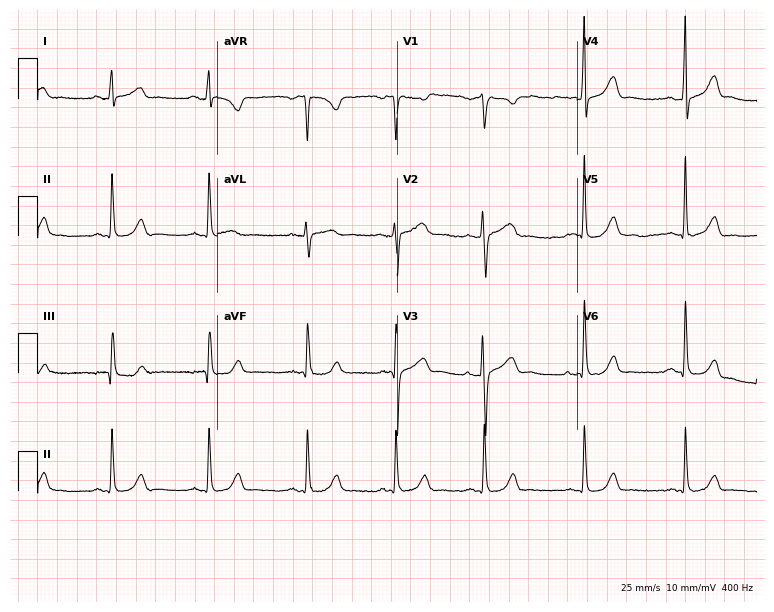
Electrocardiogram (7.3-second recording at 400 Hz), a woman, 32 years old. Overall reading on record: normal ECG.